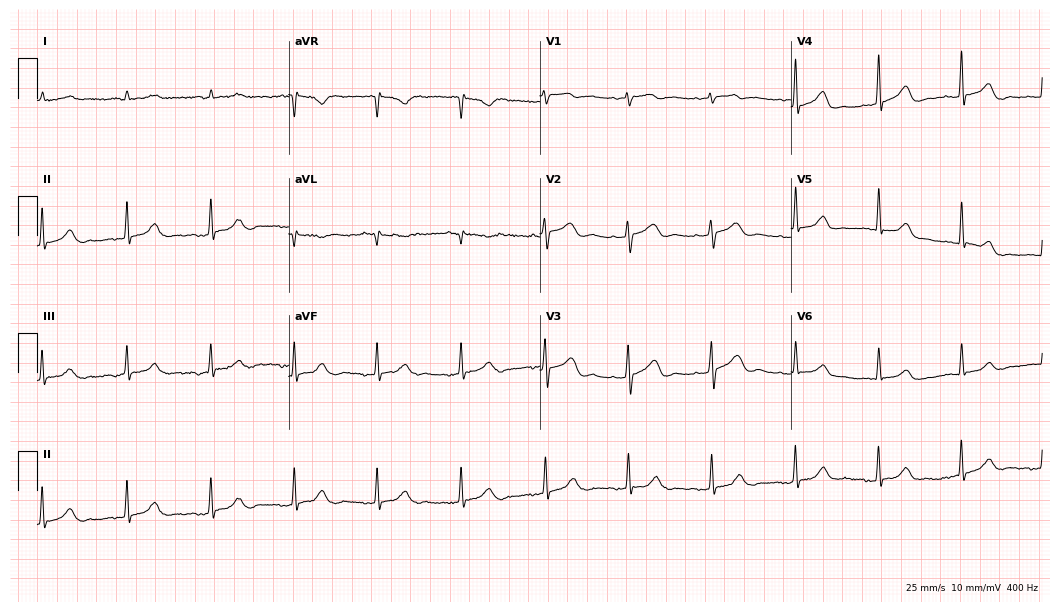
ECG (10.2-second recording at 400 Hz) — a 74-year-old male. Screened for six findings — first-degree AV block, right bundle branch block, left bundle branch block, sinus bradycardia, atrial fibrillation, sinus tachycardia — none is recorded.